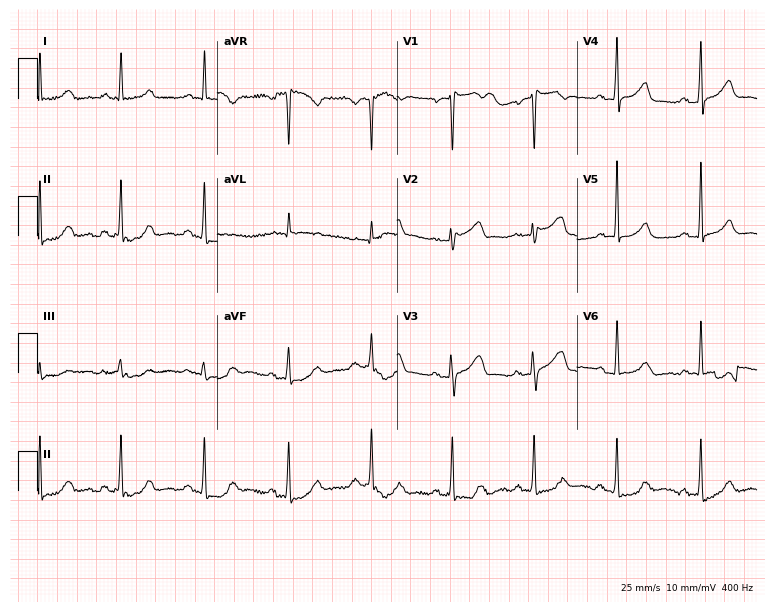
12-lead ECG from a 68-year-old female patient. Recorded interpretation: within normal limits.